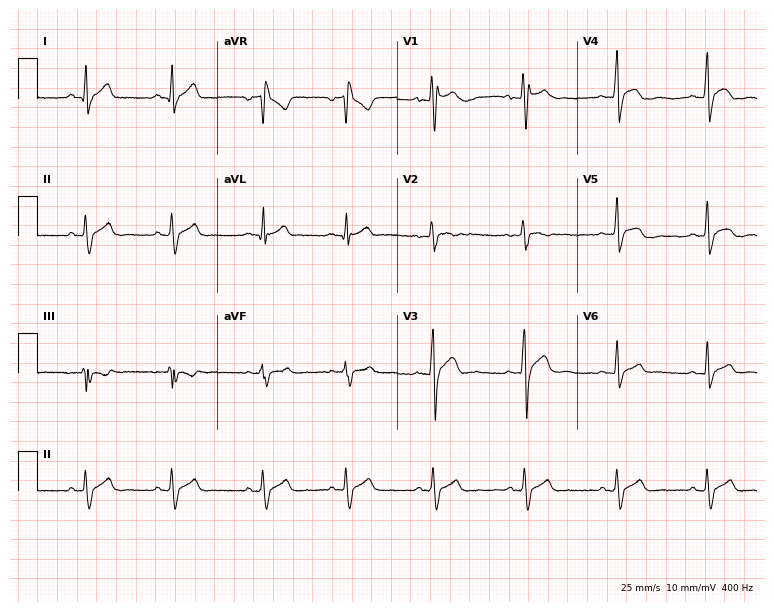
Resting 12-lead electrocardiogram (7.3-second recording at 400 Hz). Patient: a male, 21 years old. None of these six findings is recorded: first-degree AV block, right bundle branch block, left bundle branch block, sinus bradycardia, atrial fibrillation, sinus tachycardia. Other findings, if any, are not listed.